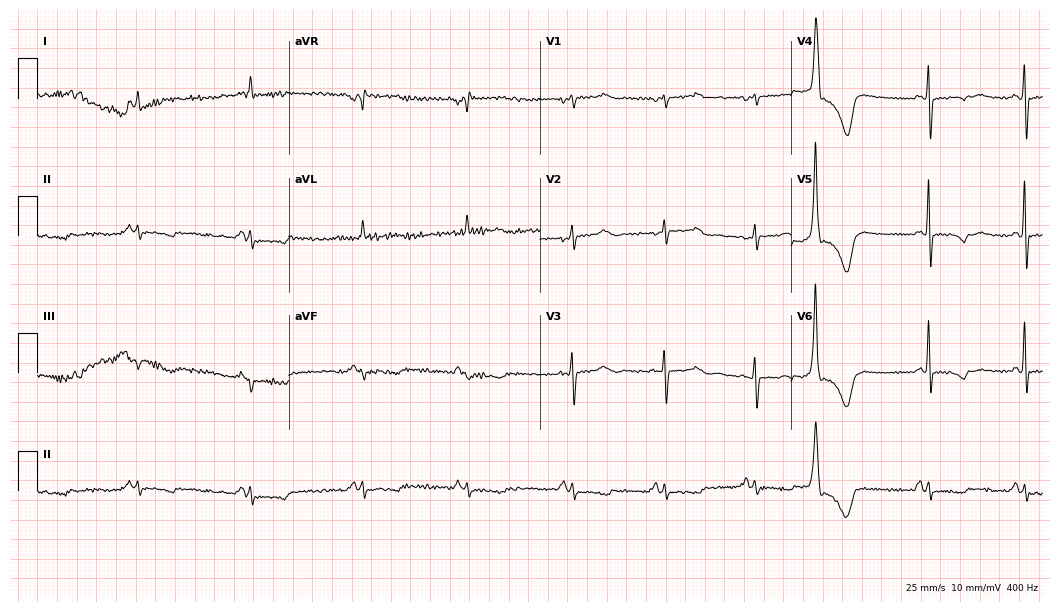
Resting 12-lead electrocardiogram. Patient: a woman, 71 years old. None of these six findings is recorded: first-degree AV block, right bundle branch block (RBBB), left bundle branch block (LBBB), sinus bradycardia, atrial fibrillation (AF), sinus tachycardia. Findings outside these six are not listed.